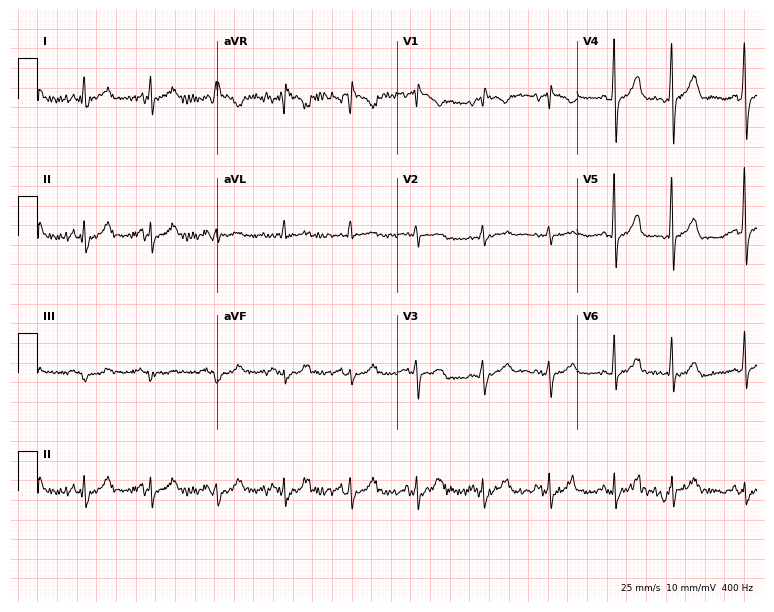
12-lead ECG from a 74-year-old female. Screened for six findings — first-degree AV block, right bundle branch block (RBBB), left bundle branch block (LBBB), sinus bradycardia, atrial fibrillation (AF), sinus tachycardia — none is recorded.